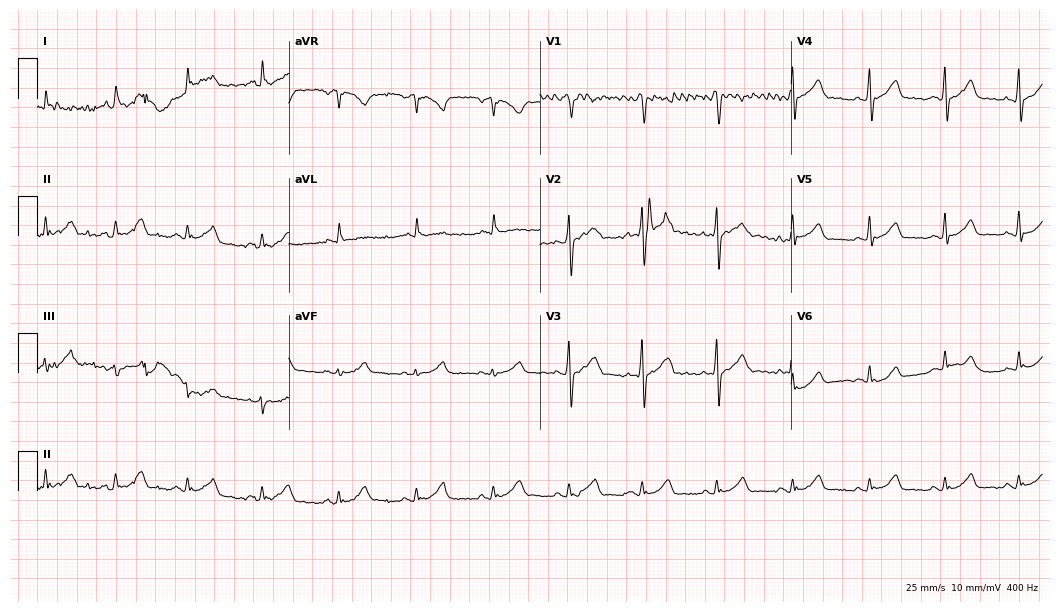
12-lead ECG (10.2-second recording at 400 Hz) from a 40-year-old male patient. Labelled as a normal ECG.